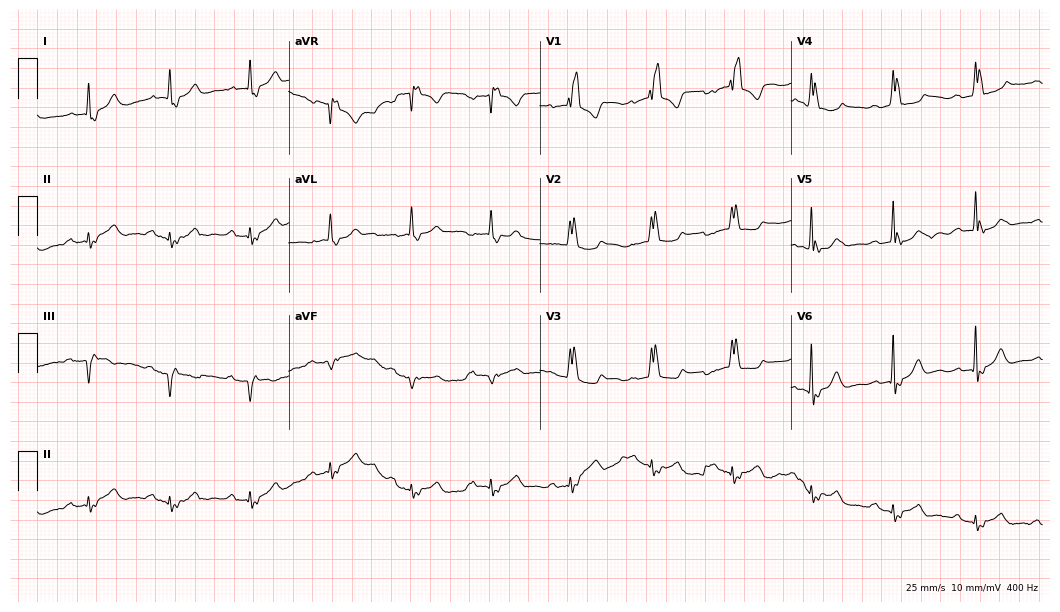
12-lead ECG (10.2-second recording at 400 Hz) from a female patient, 84 years old. Findings include first-degree AV block, right bundle branch block.